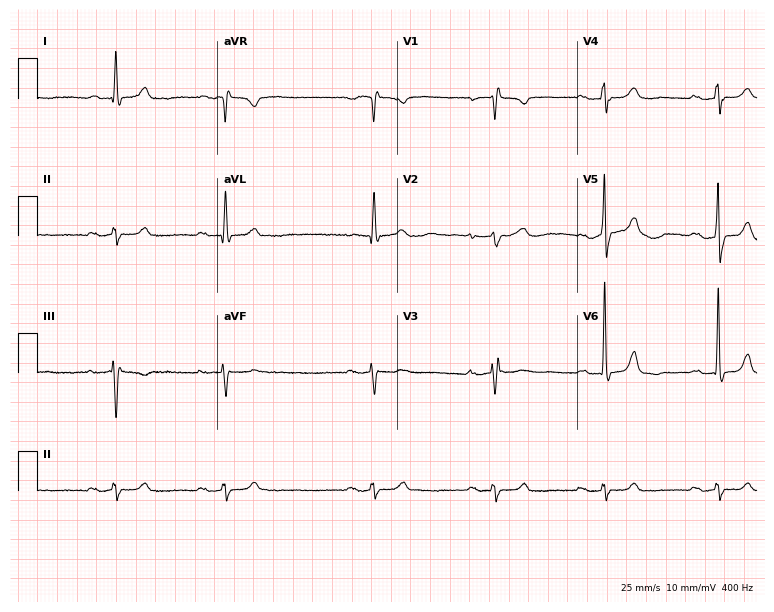
Standard 12-lead ECG recorded from a female patient, 84 years old. The tracing shows first-degree AV block, sinus bradycardia (a sinus rate of 50 beats per minute or less).